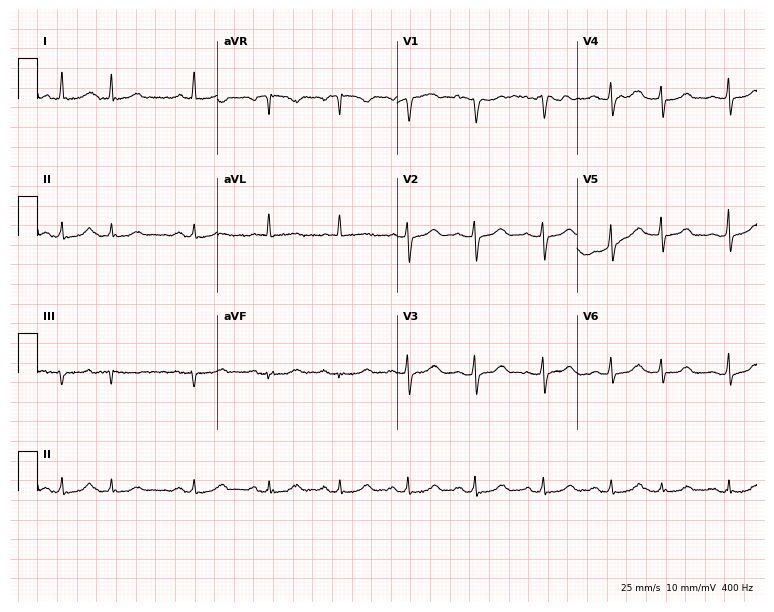
ECG — a woman, 76 years old. Screened for six findings — first-degree AV block, right bundle branch block, left bundle branch block, sinus bradycardia, atrial fibrillation, sinus tachycardia — none is recorded. Findings outside these six are not listed.